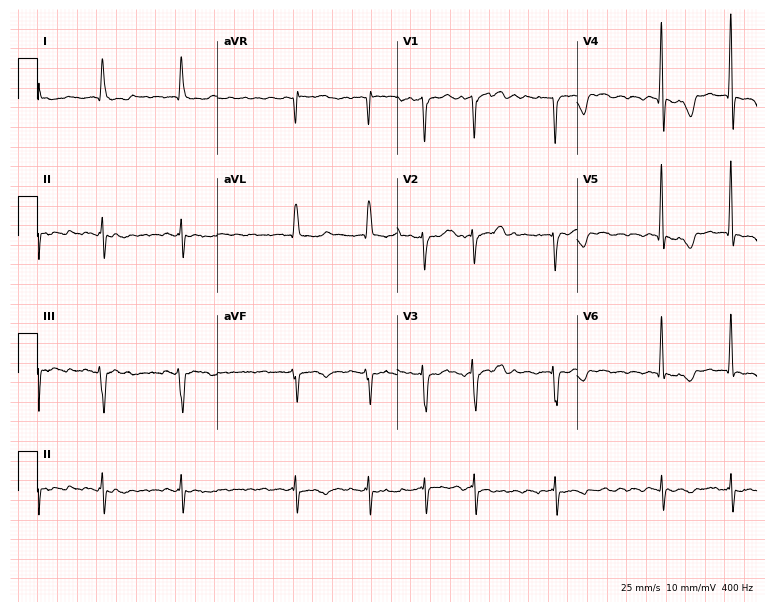
12-lead ECG from a man, 60 years old (7.3-second recording at 400 Hz). Shows atrial fibrillation (AF).